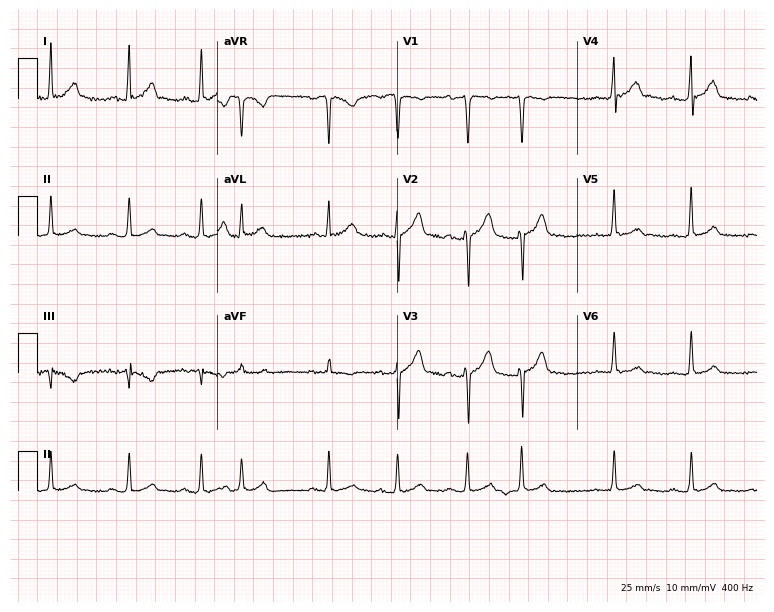
ECG (7.3-second recording at 400 Hz) — a male, 23 years old. Screened for six findings — first-degree AV block, right bundle branch block (RBBB), left bundle branch block (LBBB), sinus bradycardia, atrial fibrillation (AF), sinus tachycardia — none is recorded. Other findings, if any, are not listed.